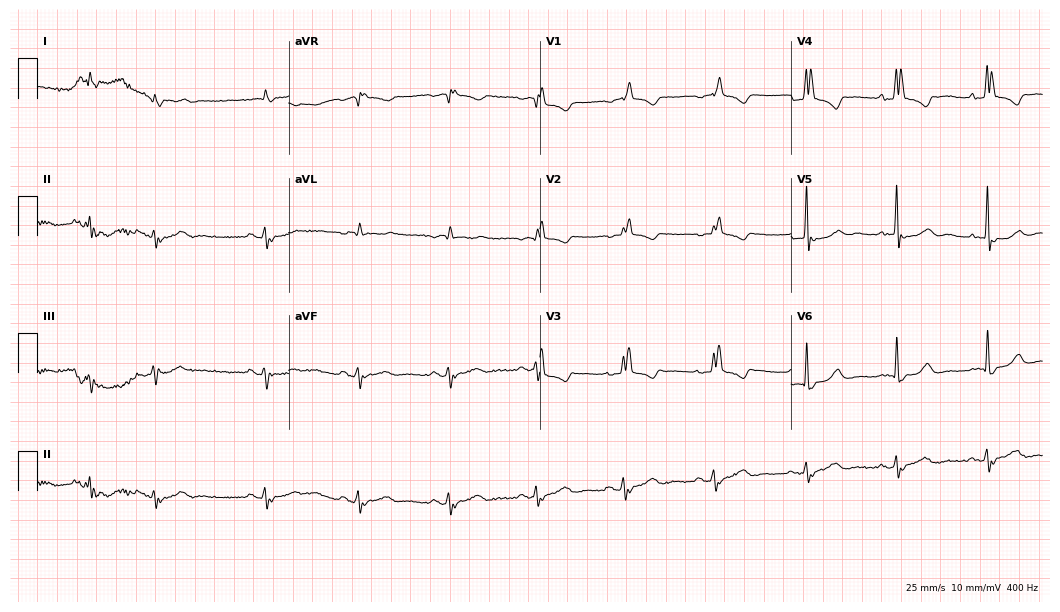
Resting 12-lead electrocardiogram. Patient: an 82-year-old man. The tracing shows right bundle branch block.